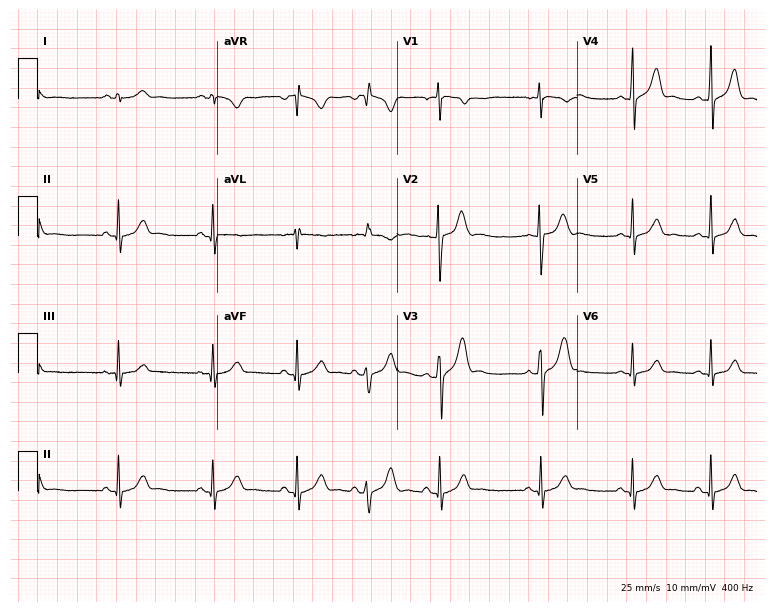
ECG — a male patient, 24 years old. Labelled as a normal ECG.